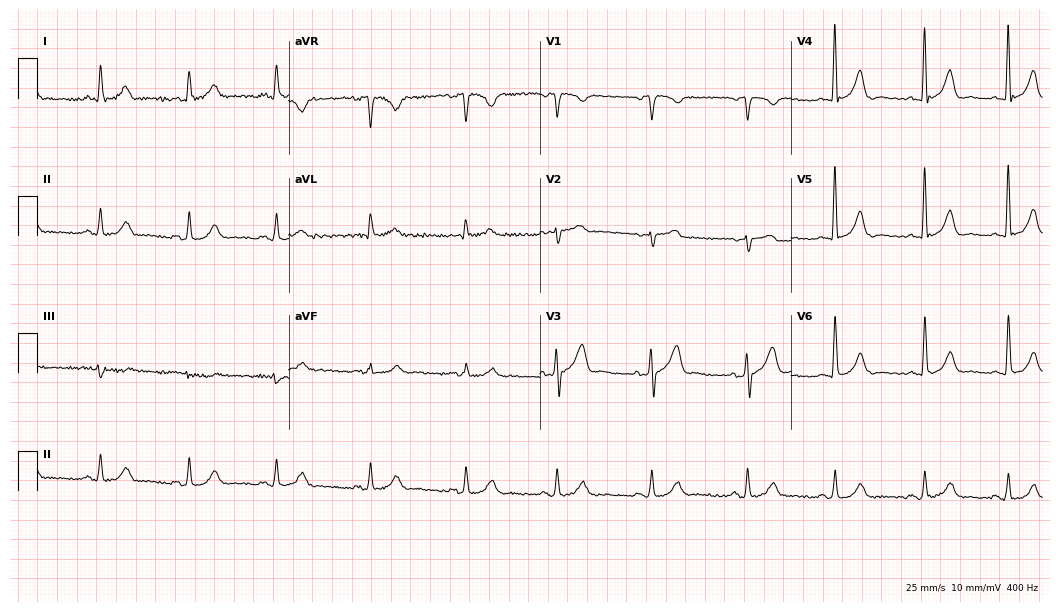
ECG (10.2-second recording at 400 Hz) — a man, 66 years old. Labelled as a normal ECG.